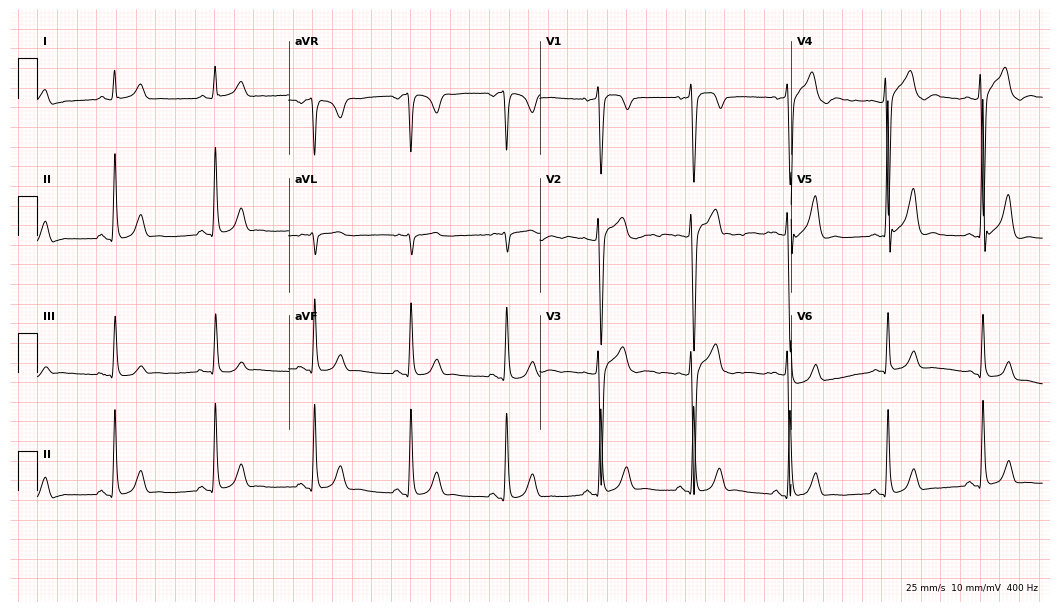
12-lead ECG from a male, 43 years old. Screened for six findings — first-degree AV block, right bundle branch block, left bundle branch block, sinus bradycardia, atrial fibrillation, sinus tachycardia — none is recorded. Other findings, if any, are not listed.